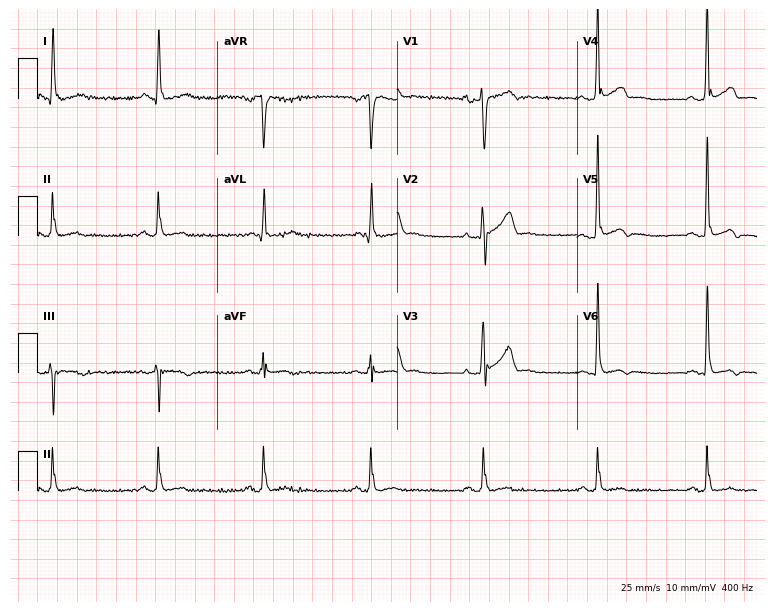
ECG (7.3-second recording at 400 Hz) — a 35-year-old man. Screened for six findings — first-degree AV block, right bundle branch block (RBBB), left bundle branch block (LBBB), sinus bradycardia, atrial fibrillation (AF), sinus tachycardia — none is recorded.